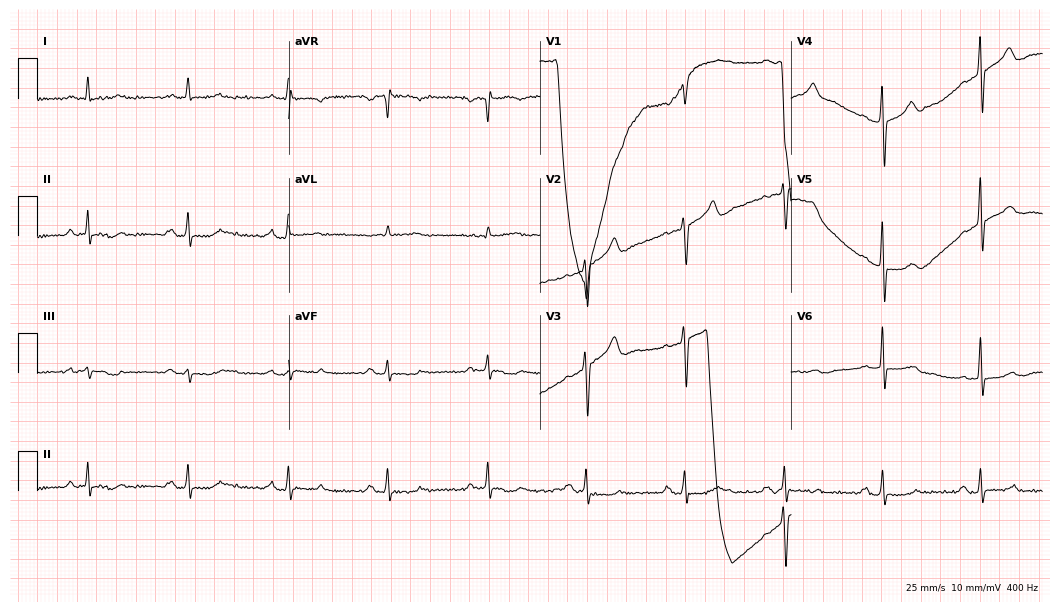
Electrocardiogram (10.2-second recording at 400 Hz), a 74-year-old man. Of the six screened findings (first-degree AV block, right bundle branch block, left bundle branch block, sinus bradycardia, atrial fibrillation, sinus tachycardia), none is recorded.